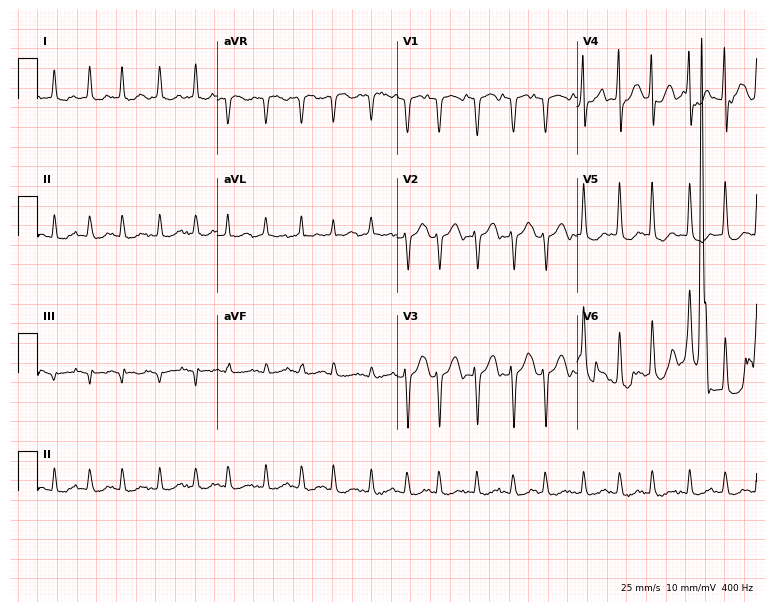
Electrocardiogram, a woman, 72 years old. Interpretation includes sinus tachycardia (a sinus rate of 100 beats per minute or more).